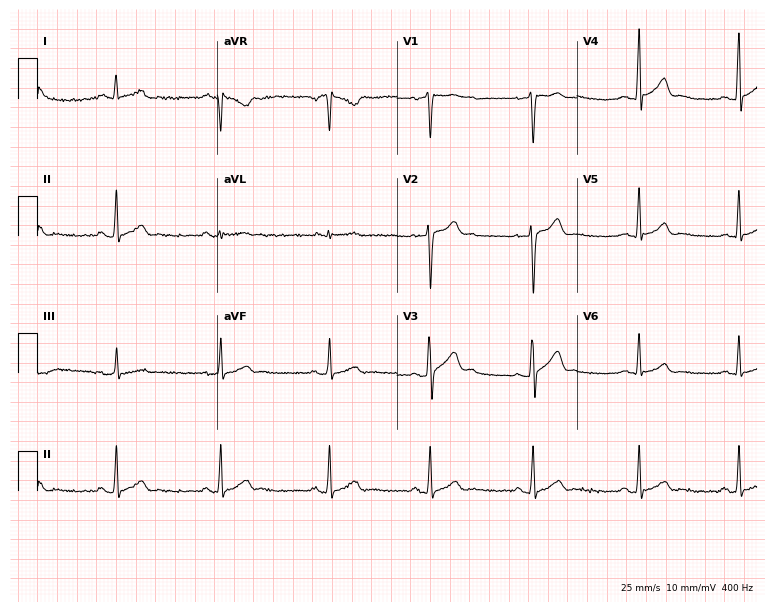
12-lead ECG from a 26-year-old man. Screened for six findings — first-degree AV block, right bundle branch block, left bundle branch block, sinus bradycardia, atrial fibrillation, sinus tachycardia — none is recorded. Only these six findings were labelled.